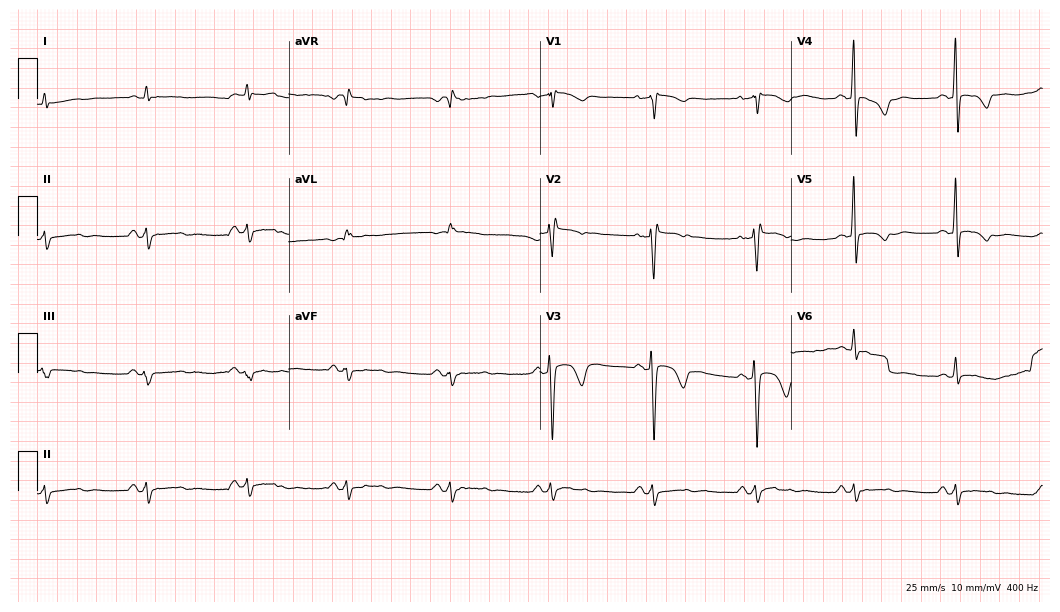
ECG (10.2-second recording at 400 Hz) — an 80-year-old female patient. Screened for six findings — first-degree AV block, right bundle branch block (RBBB), left bundle branch block (LBBB), sinus bradycardia, atrial fibrillation (AF), sinus tachycardia — none is recorded. Findings outside these six are not listed.